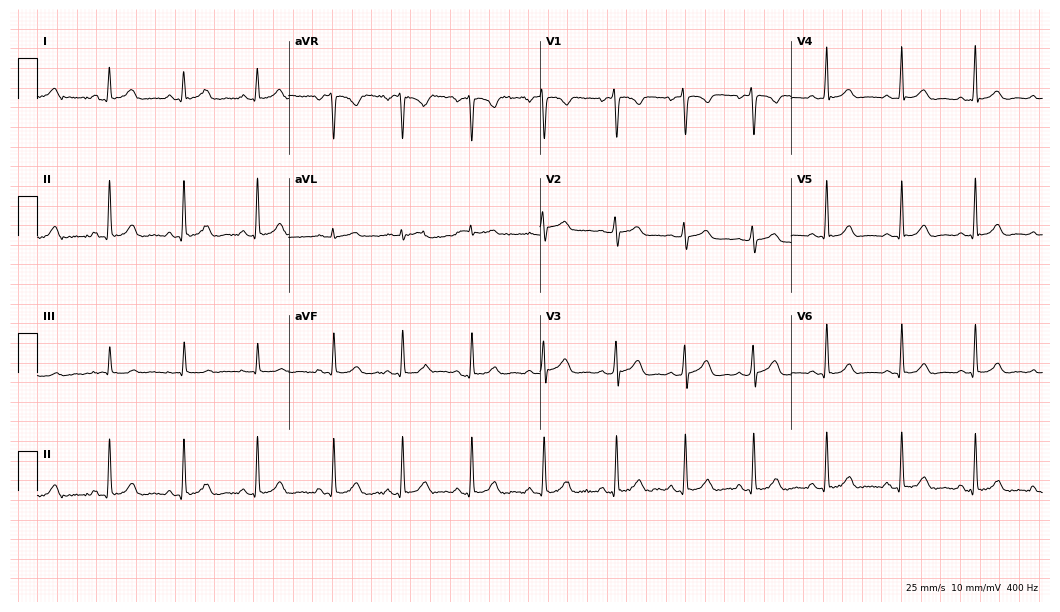
Standard 12-lead ECG recorded from a 17-year-old woman (10.2-second recording at 400 Hz). None of these six findings is recorded: first-degree AV block, right bundle branch block, left bundle branch block, sinus bradycardia, atrial fibrillation, sinus tachycardia. Other findings, if any, are not listed.